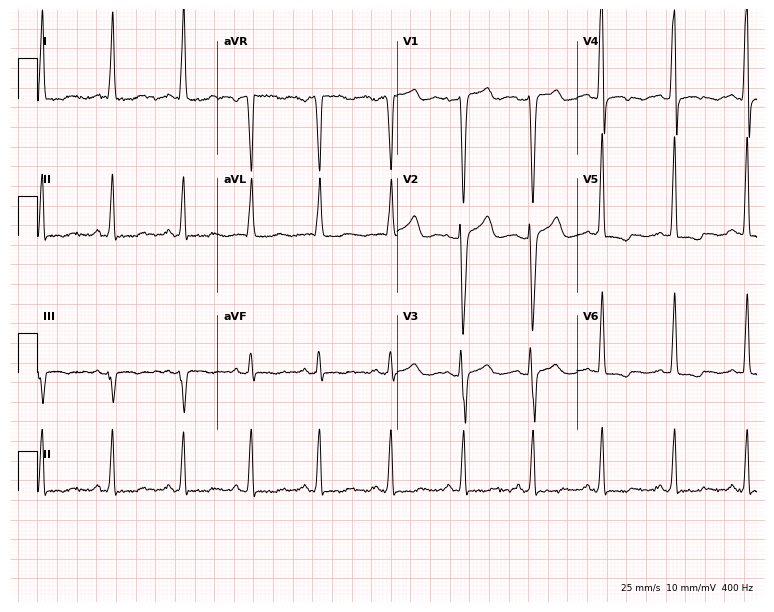
Electrocardiogram (7.3-second recording at 400 Hz), a 74-year-old female. Of the six screened findings (first-degree AV block, right bundle branch block, left bundle branch block, sinus bradycardia, atrial fibrillation, sinus tachycardia), none is recorded.